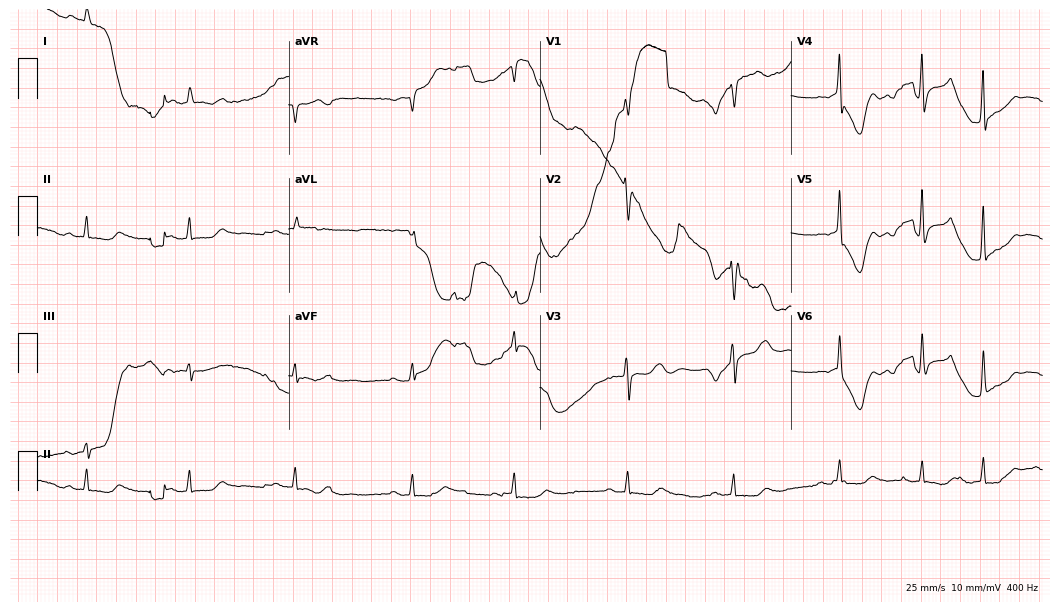
ECG — a female patient, 79 years old. Screened for six findings — first-degree AV block, right bundle branch block (RBBB), left bundle branch block (LBBB), sinus bradycardia, atrial fibrillation (AF), sinus tachycardia — none is recorded.